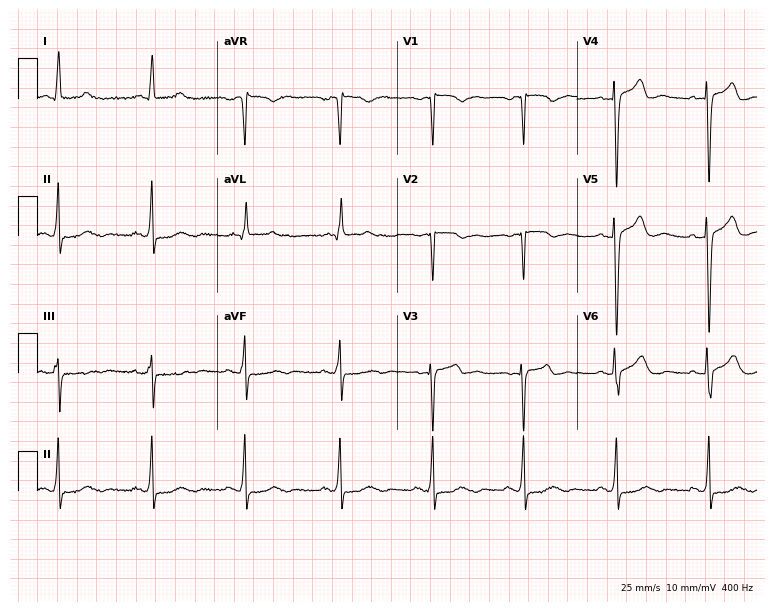
Resting 12-lead electrocardiogram. Patient: a woman, 50 years old. None of these six findings is recorded: first-degree AV block, right bundle branch block, left bundle branch block, sinus bradycardia, atrial fibrillation, sinus tachycardia. Only these six findings were labelled.